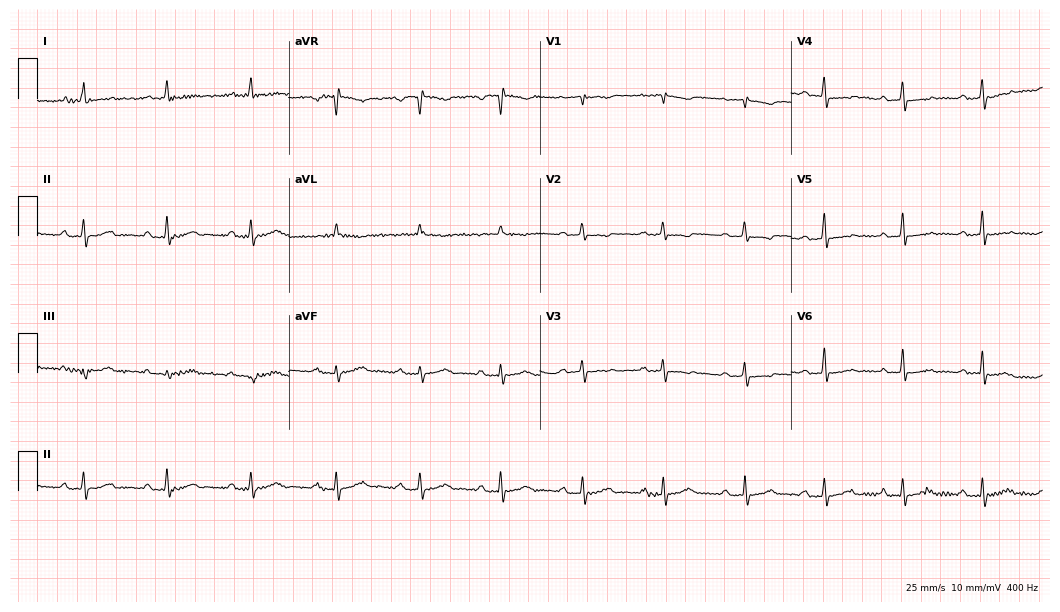
12-lead ECG from a woman, 67 years old. Shows first-degree AV block.